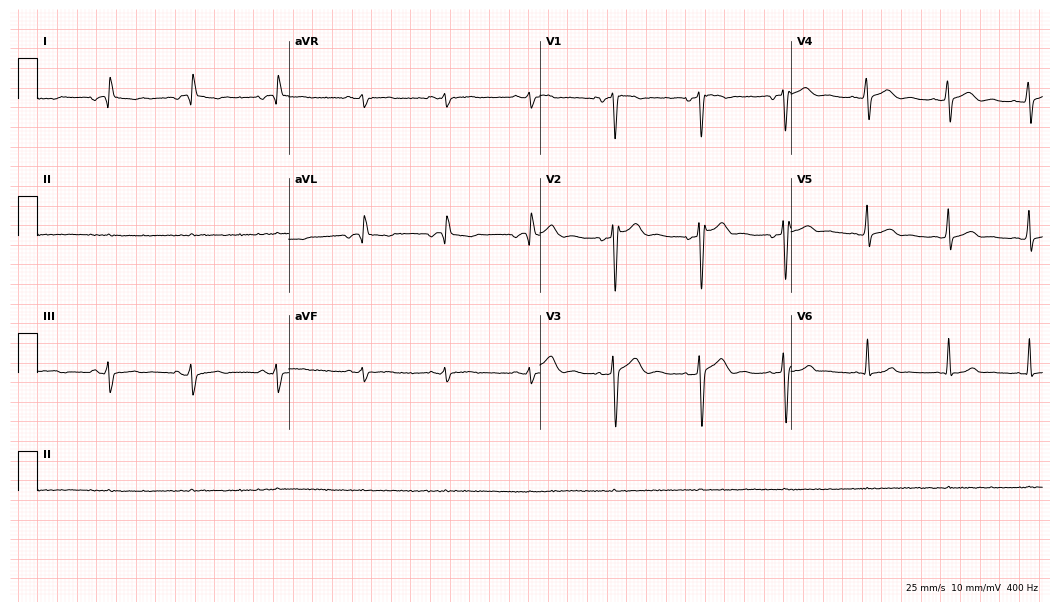
Resting 12-lead electrocardiogram (10.2-second recording at 400 Hz). Patient: a 26-year-old man. None of these six findings is recorded: first-degree AV block, right bundle branch block, left bundle branch block, sinus bradycardia, atrial fibrillation, sinus tachycardia. Findings outside these six are not listed.